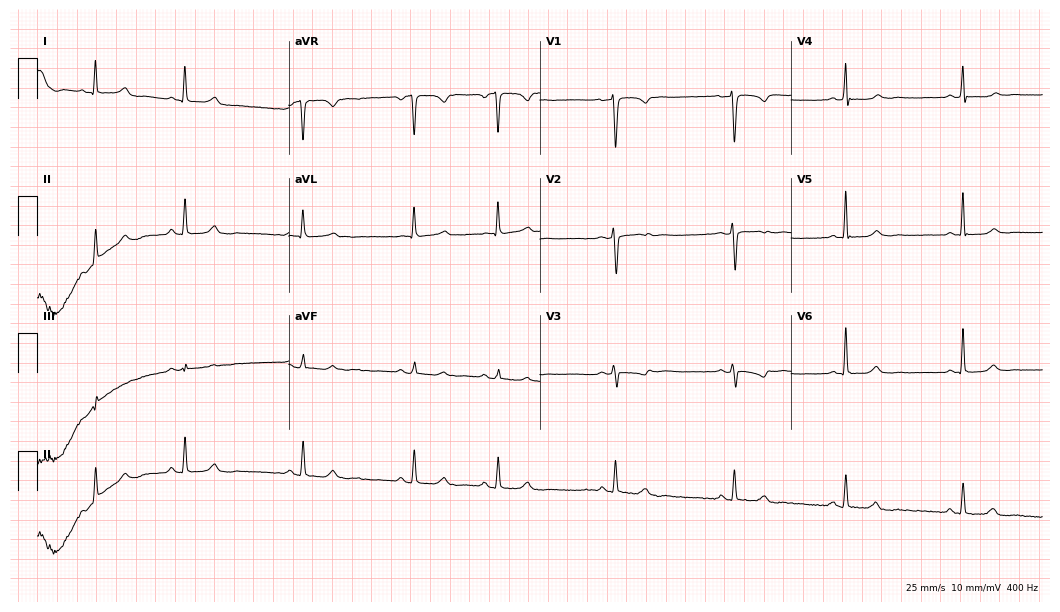
Standard 12-lead ECG recorded from a female, 36 years old. Read as a normal ECG.